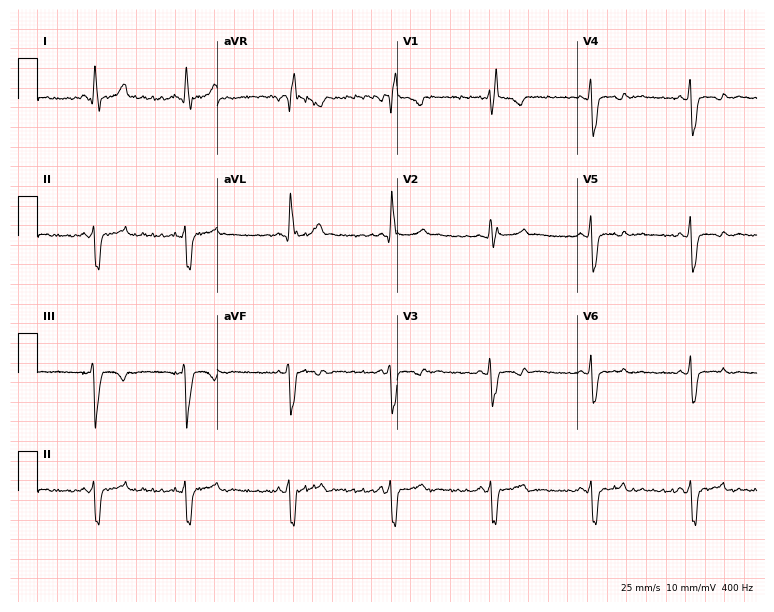
ECG — a female, 36 years old. Screened for six findings — first-degree AV block, right bundle branch block, left bundle branch block, sinus bradycardia, atrial fibrillation, sinus tachycardia — none is recorded.